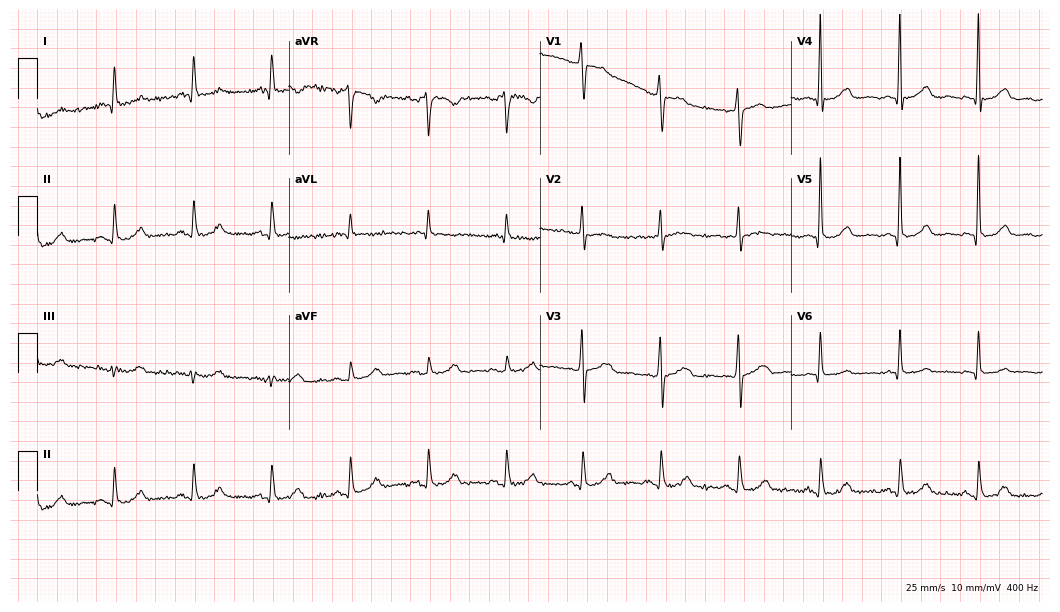
Standard 12-lead ECG recorded from a 57-year-old woman. Read as a normal ECG.